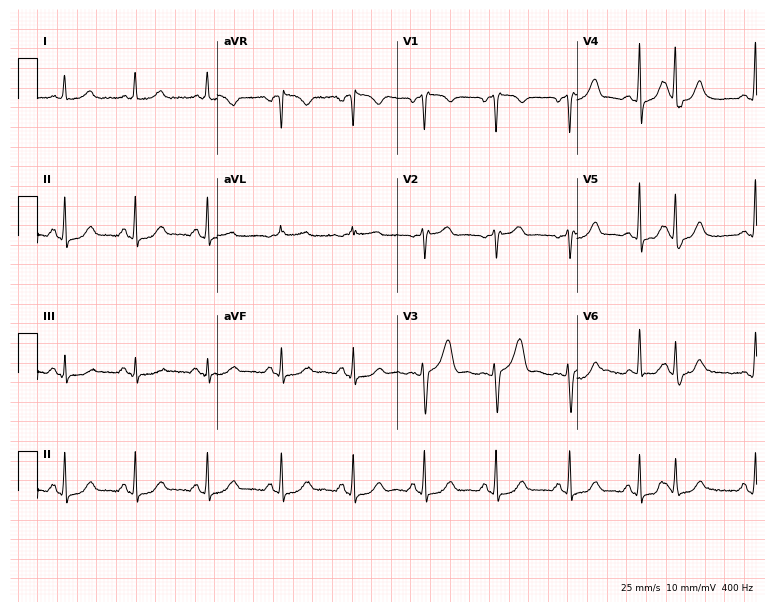
12-lead ECG (7.3-second recording at 400 Hz) from a female patient, 50 years old. Screened for six findings — first-degree AV block, right bundle branch block (RBBB), left bundle branch block (LBBB), sinus bradycardia, atrial fibrillation (AF), sinus tachycardia — none is recorded.